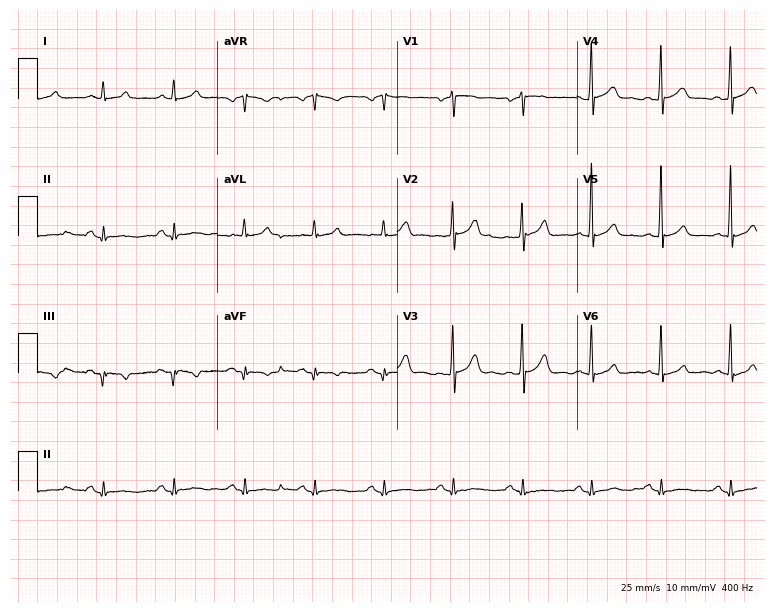
Standard 12-lead ECG recorded from a male patient, 43 years old (7.3-second recording at 400 Hz). None of these six findings is recorded: first-degree AV block, right bundle branch block, left bundle branch block, sinus bradycardia, atrial fibrillation, sinus tachycardia. Other findings, if any, are not listed.